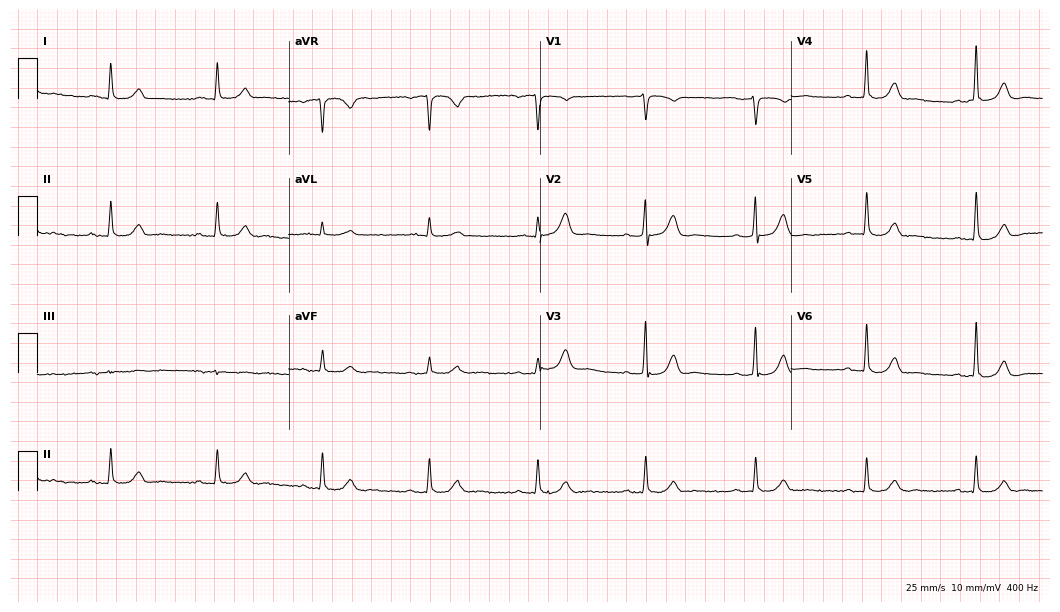
Standard 12-lead ECG recorded from a 71-year-old man (10.2-second recording at 400 Hz). None of these six findings is recorded: first-degree AV block, right bundle branch block, left bundle branch block, sinus bradycardia, atrial fibrillation, sinus tachycardia.